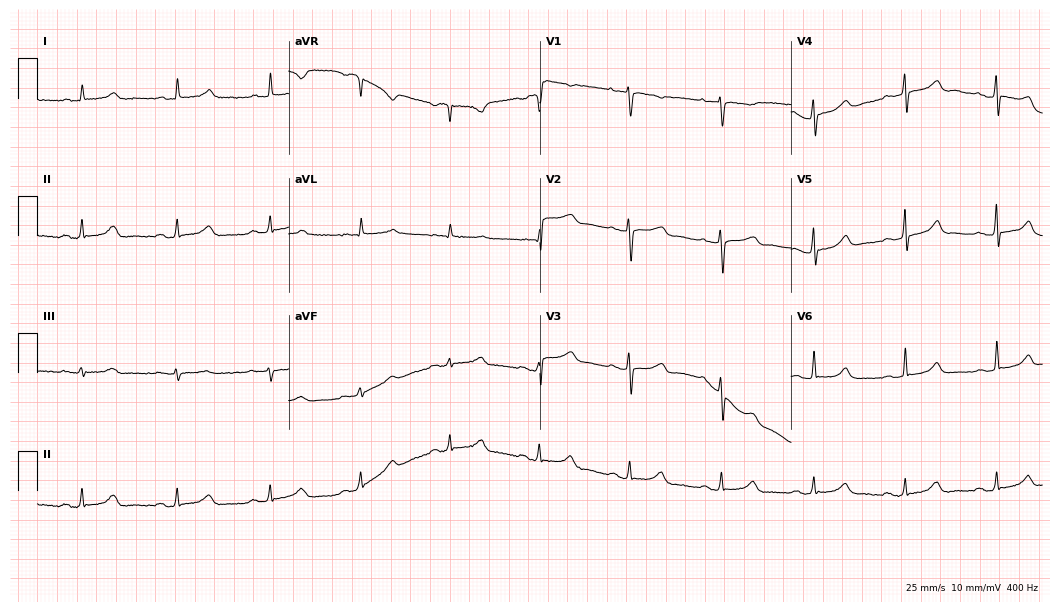
12-lead ECG (10.2-second recording at 400 Hz) from a 59-year-old woman. Labelled as a normal ECG.